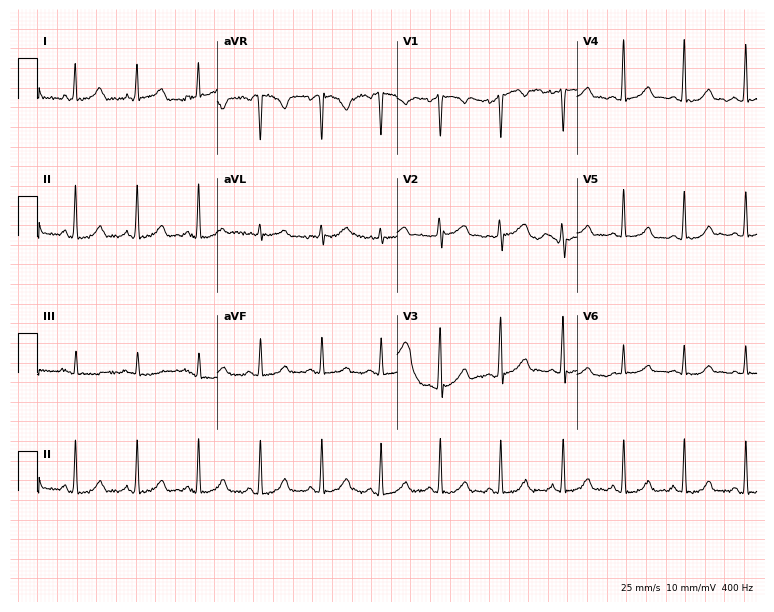
12-lead ECG (7.3-second recording at 400 Hz) from a 41-year-old female. Labelled as a normal ECG.